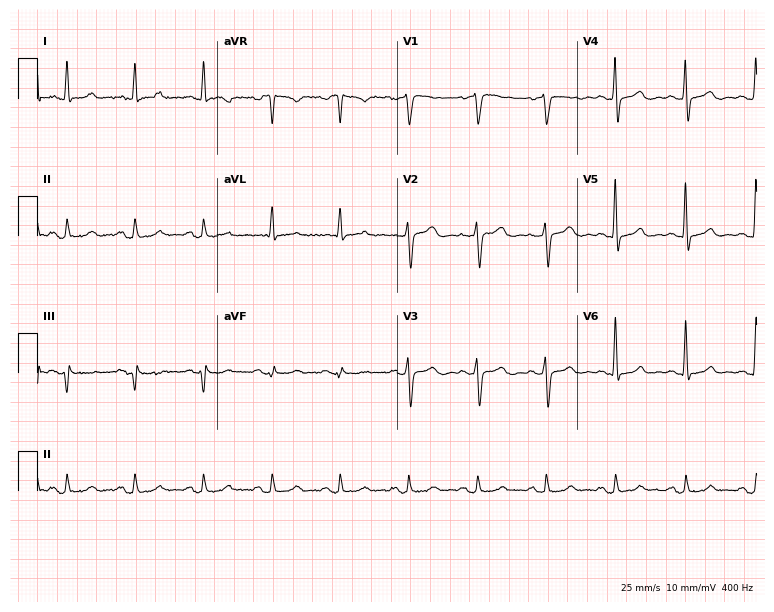
Standard 12-lead ECG recorded from a 43-year-old female patient. Read as a normal ECG.